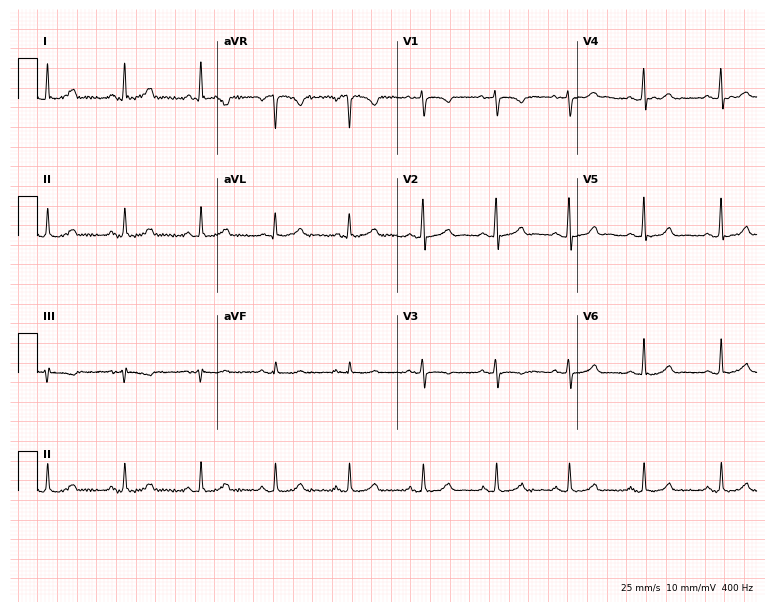
12-lead ECG (7.3-second recording at 400 Hz) from a 54-year-old female patient. Labelled as a normal ECG.